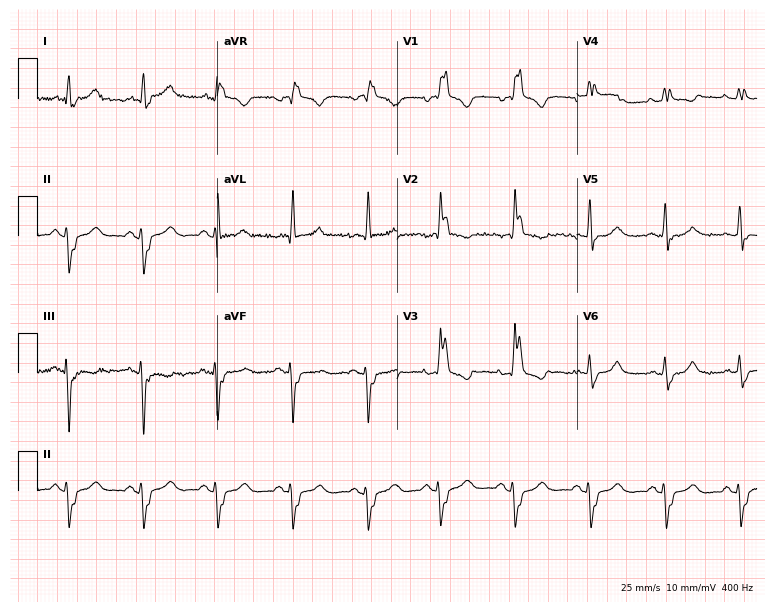
12-lead ECG from a male, 80 years old. Shows right bundle branch block.